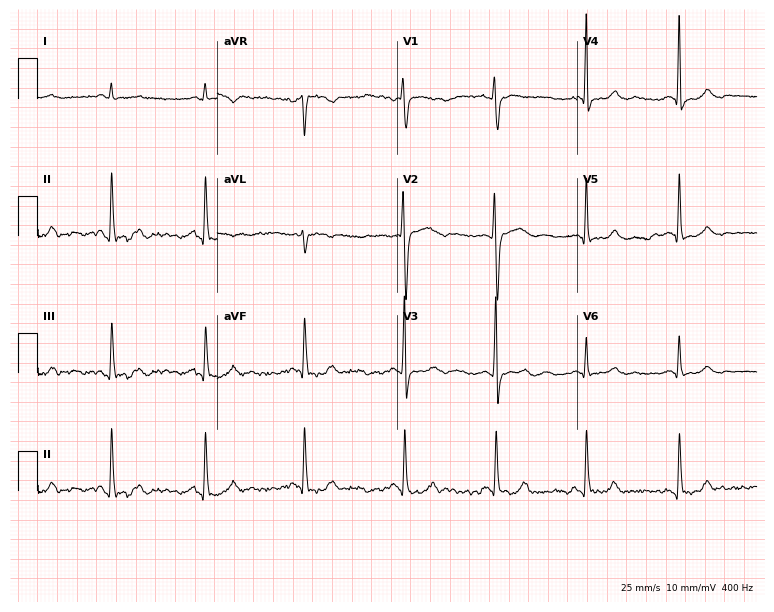
12-lead ECG from a female, 38 years old (7.3-second recording at 400 Hz). No first-degree AV block, right bundle branch block, left bundle branch block, sinus bradycardia, atrial fibrillation or sinus tachycardia recorded for this tracing.